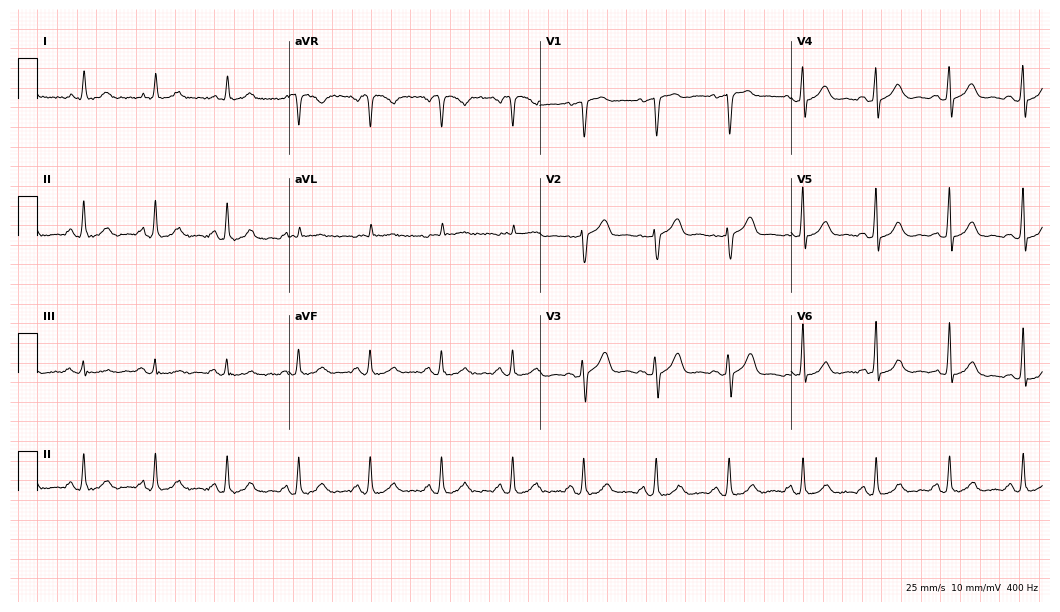
12-lead ECG from a 65-year-old male (10.2-second recording at 400 Hz). Recorded interpretation: within normal limits.